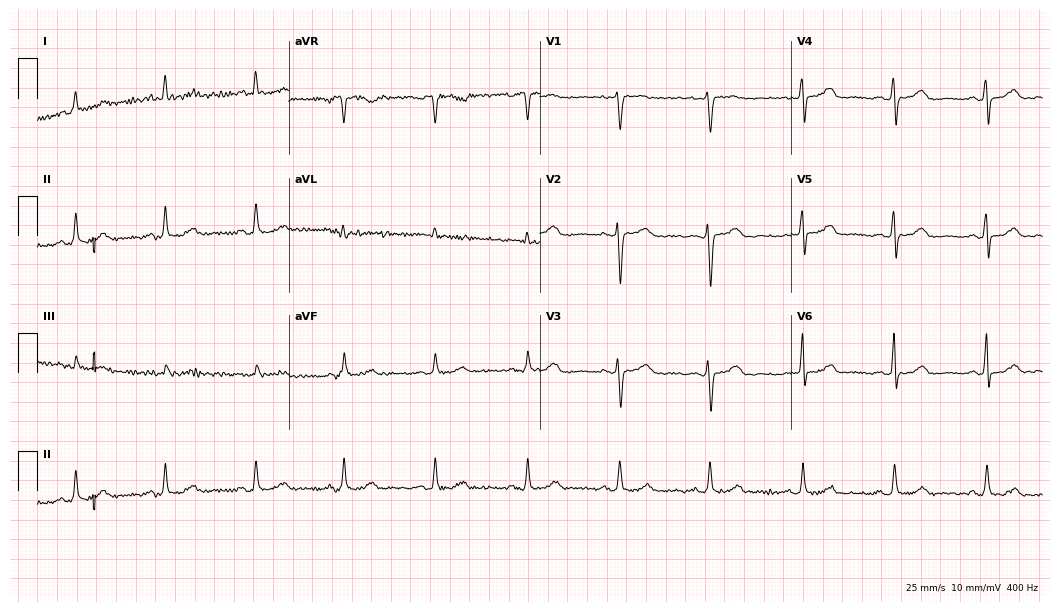
12-lead ECG from a female patient, 52 years old. No first-degree AV block, right bundle branch block (RBBB), left bundle branch block (LBBB), sinus bradycardia, atrial fibrillation (AF) or sinus tachycardia recorded for this tracing. Other findings, if any, are not listed.